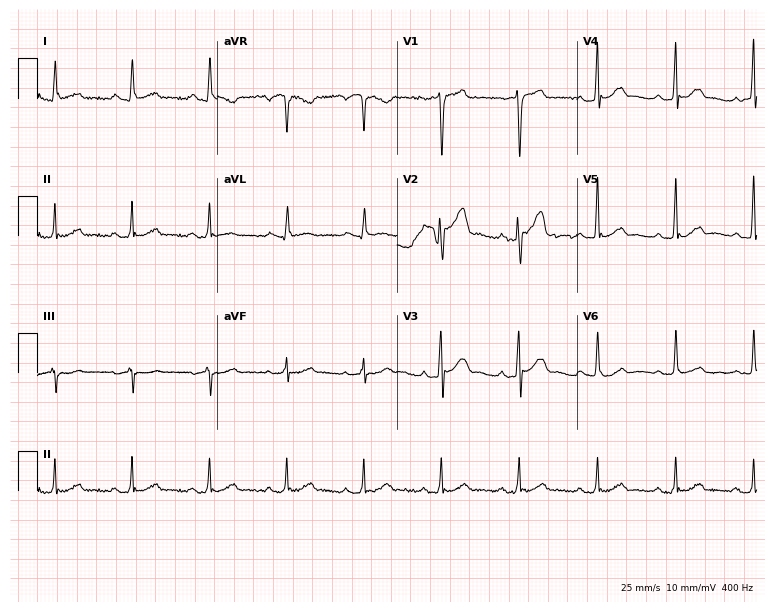
12-lead ECG from a 46-year-old man. Labelled as a normal ECG.